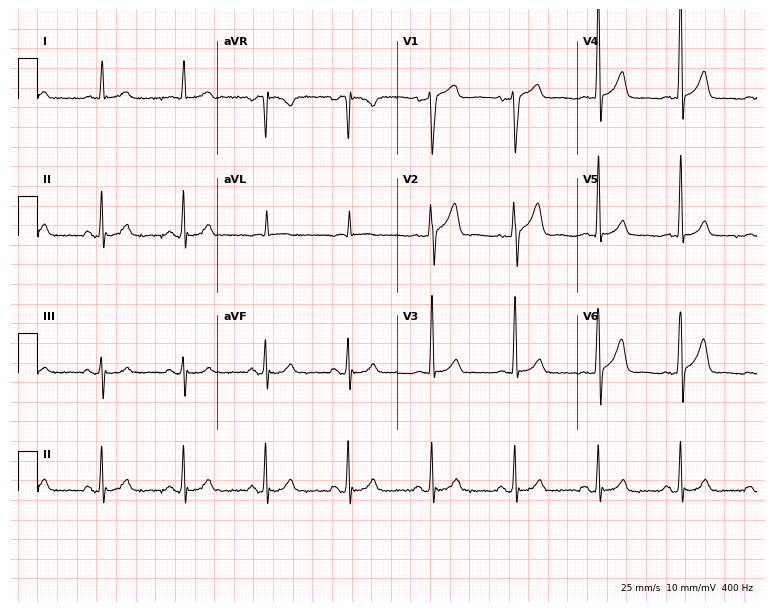
Electrocardiogram, a man, 69 years old. Overall reading on record: normal ECG.